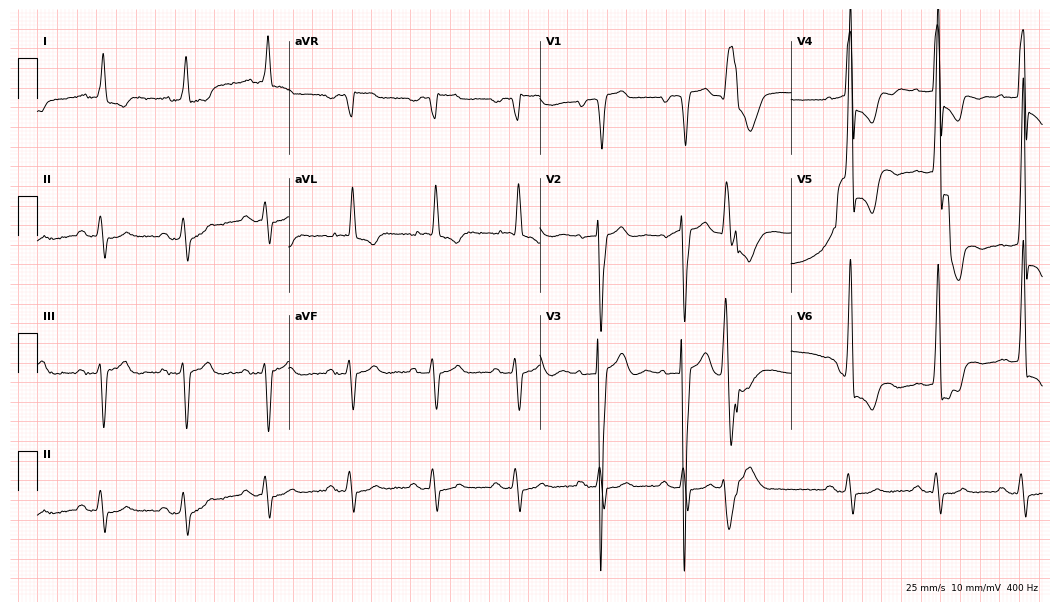
Resting 12-lead electrocardiogram. Patient: a male, 82 years old. None of these six findings is recorded: first-degree AV block, right bundle branch block, left bundle branch block, sinus bradycardia, atrial fibrillation, sinus tachycardia. Only these six findings were labelled.